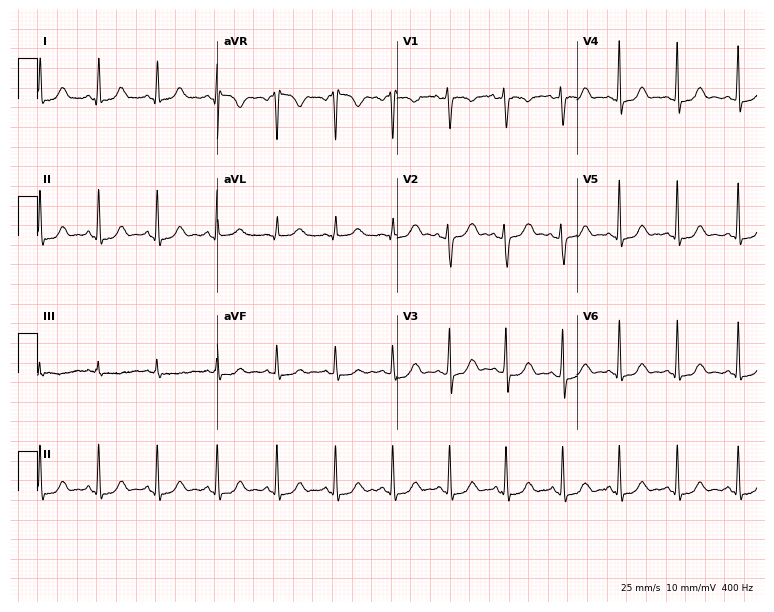
12-lead ECG from a 27-year-old female patient (7.3-second recording at 400 Hz). No first-degree AV block, right bundle branch block, left bundle branch block, sinus bradycardia, atrial fibrillation or sinus tachycardia recorded for this tracing.